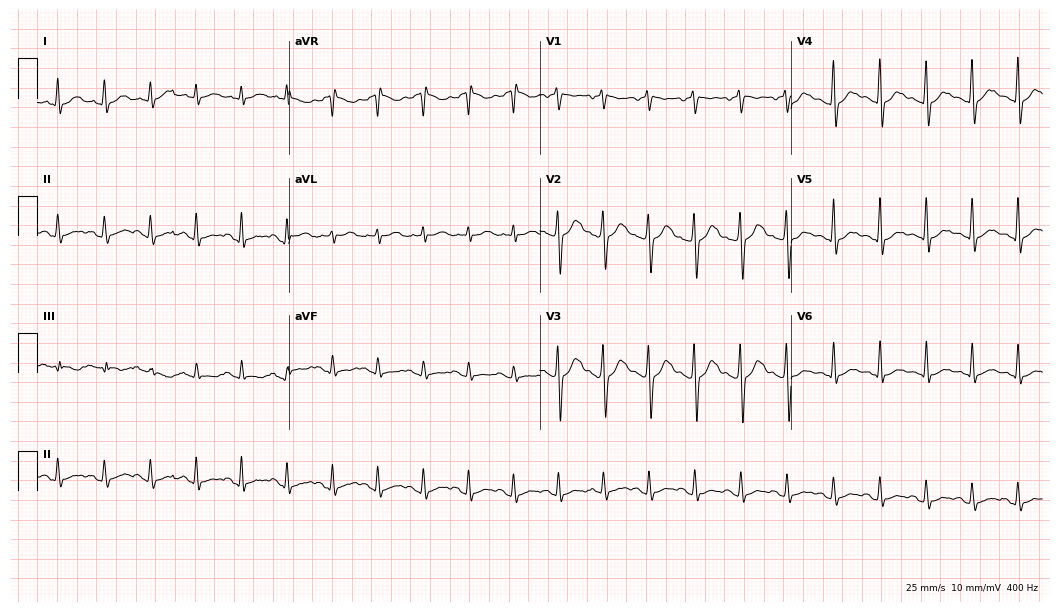
Resting 12-lead electrocardiogram (10.2-second recording at 400 Hz). Patient: a male, 27 years old. The tracing shows sinus tachycardia (a sinus rate of 100 beats per minute or more).